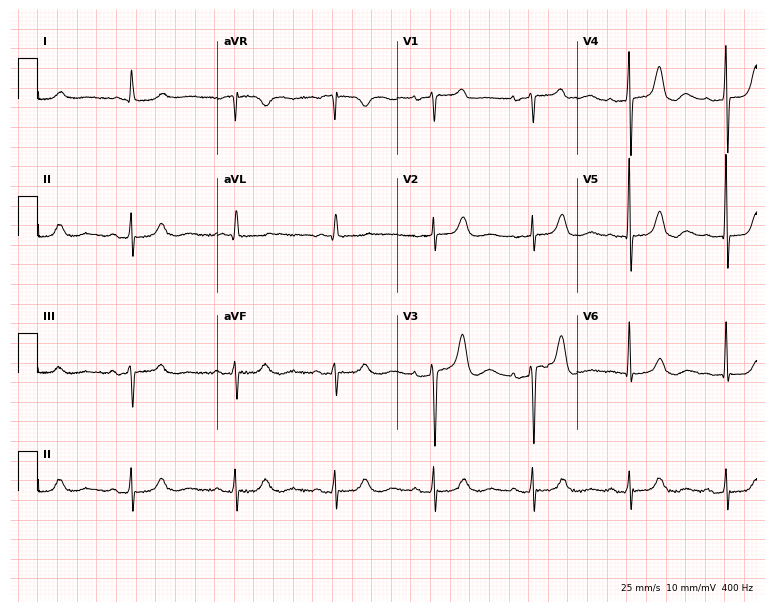
12-lead ECG (7.3-second recording at 400 Hz) from a 75-year-old female patient. Labelled as a normal ECG.